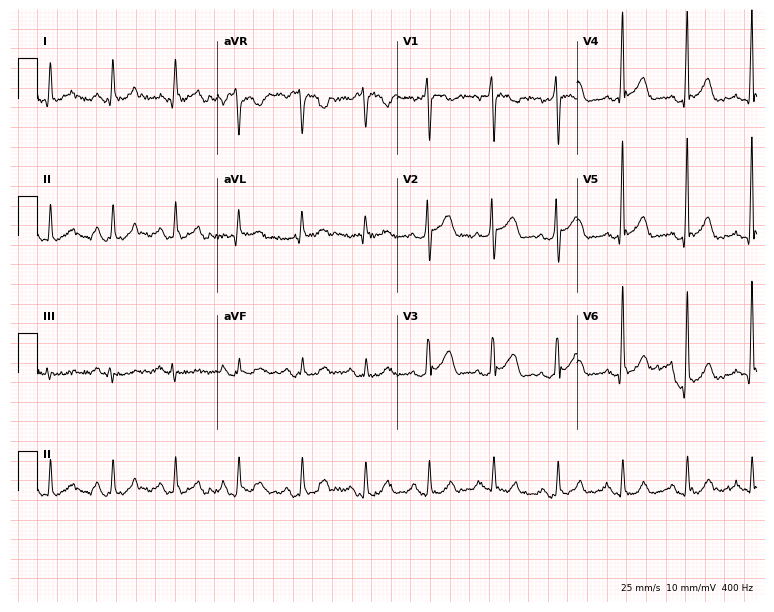
Standard 12-lead ECG recorded from a male, 51 years old (7.3-second recording at 400 Hz). Read as a normal ECG.